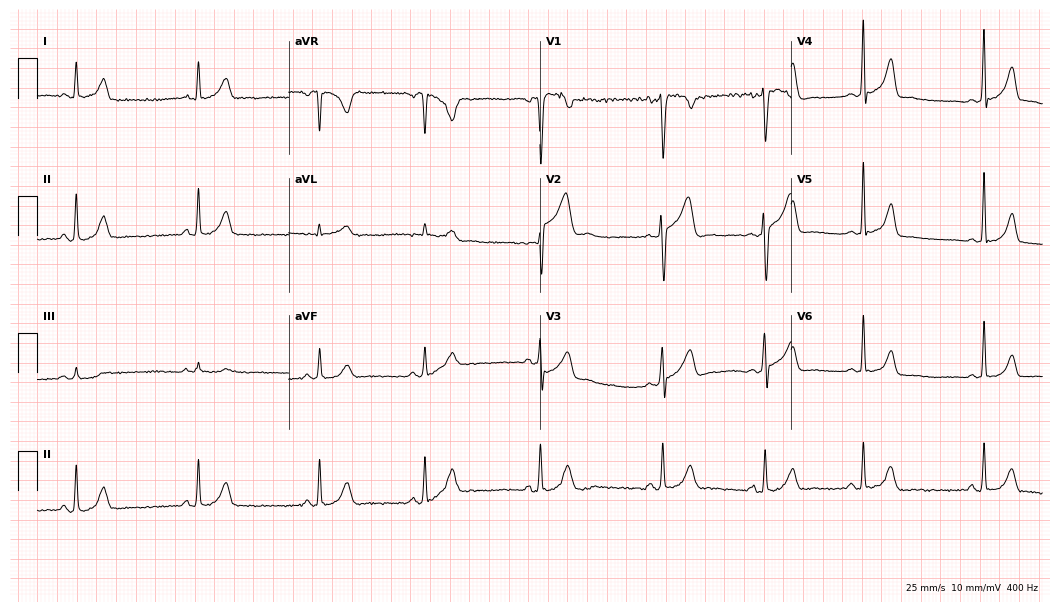
12-lead ECG (10.2-second recording at 400 Hz) from a male patient, 25 years old. Labelled as a normal ECG.